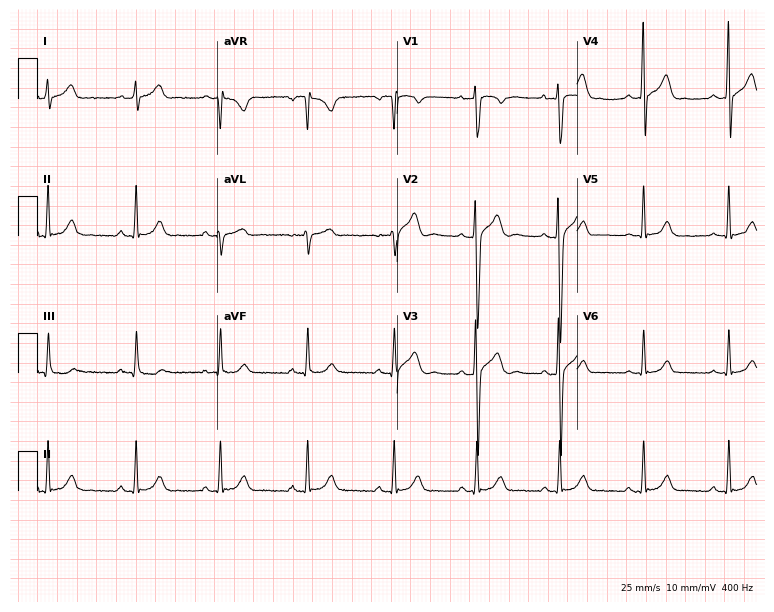
12-lead ECG from a male patient, 25 years old. Recorded interpretation: within normal limits.